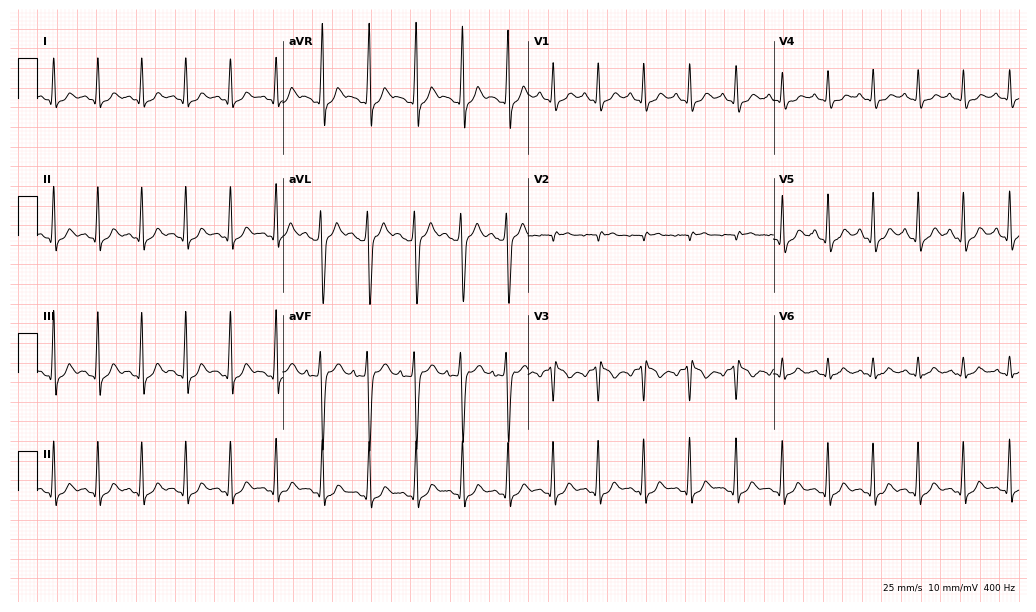
12-lead ECG (10-second recording at 400 Hz) from a 17-year-old man. Screened for six findings — first-degree AV block, right bundle branch block, left bundle branch block, sinus bradycardia, atrial fibrillation, sinus tachycardia — none is recorded. Only these six findings were labelled.